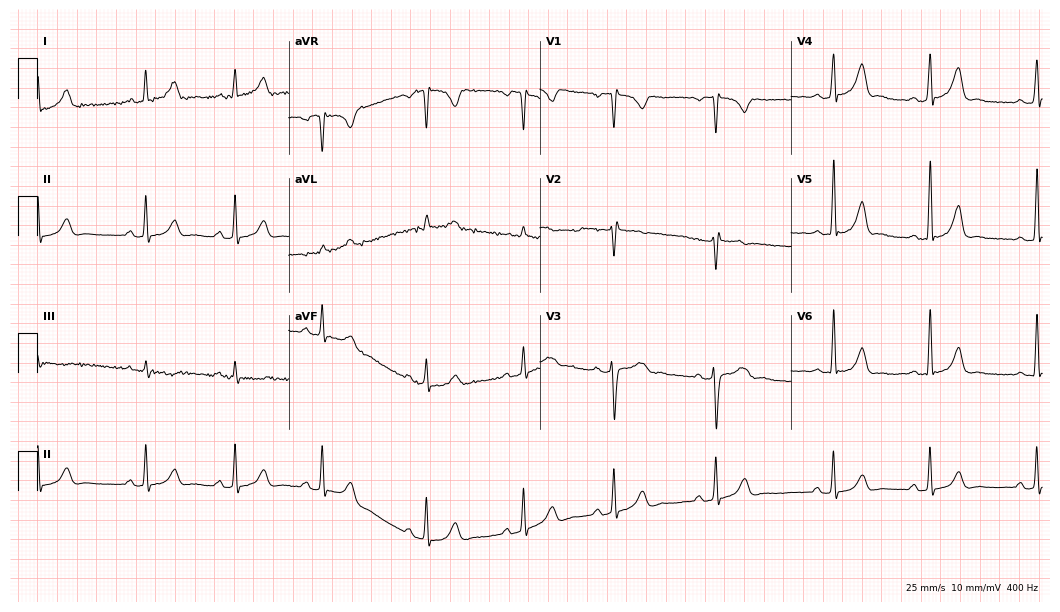
12-lead ECG from a 31-year-old female (10.2-second recording at 400 Hz). Recorded interpretation: within normal limits.